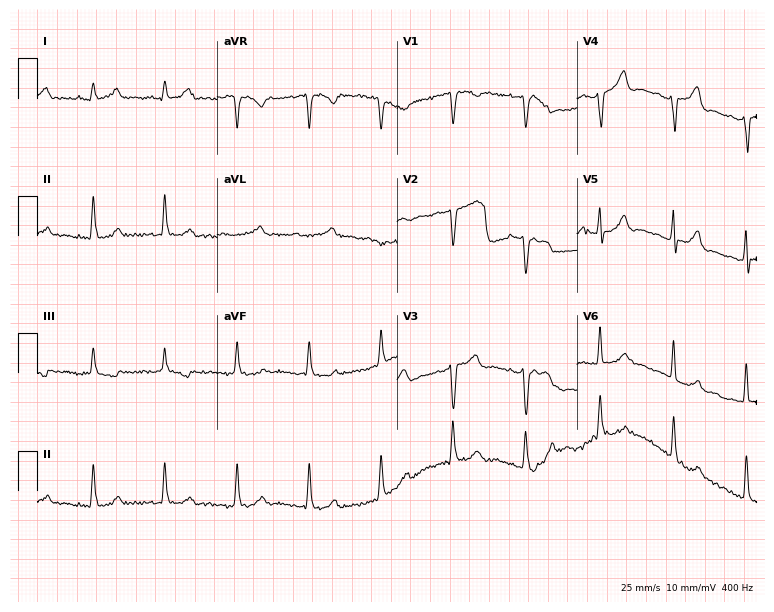
Electrocardiogram (7.3-second recording at 400 Hz), a 62-year-old female. Of the six screened findings (first-degree AV block, right bundle branch block, left bundle branch block, sinus bradycardia, atrial fibrillation, sinus tachycardia), none is recorded.